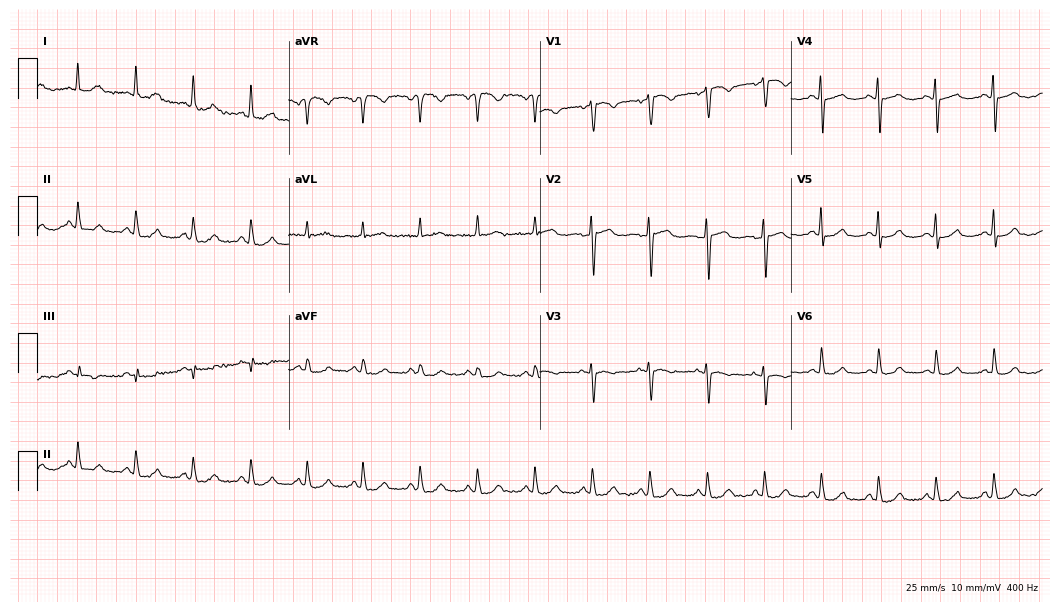
12-lead ECG (10.2-second recording at 400 Hz) from a 66-year-old woman. Findings include sinus tachycardia (a sinus rate of 100 beats per minute or more).